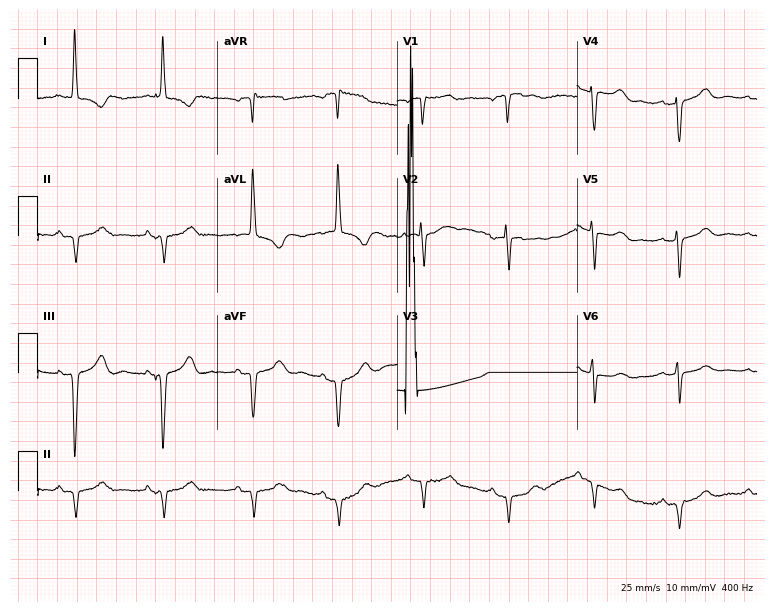
Electrocardiogram (7.3-second recording at 400 Hz), a female patient, 46 years old. Of the six screened findings (first-degree AV block, right bundle branch block, left bundle branch block, sinus bradycardia, atrial fibrillation, sinus tachycardia), none is recorded.